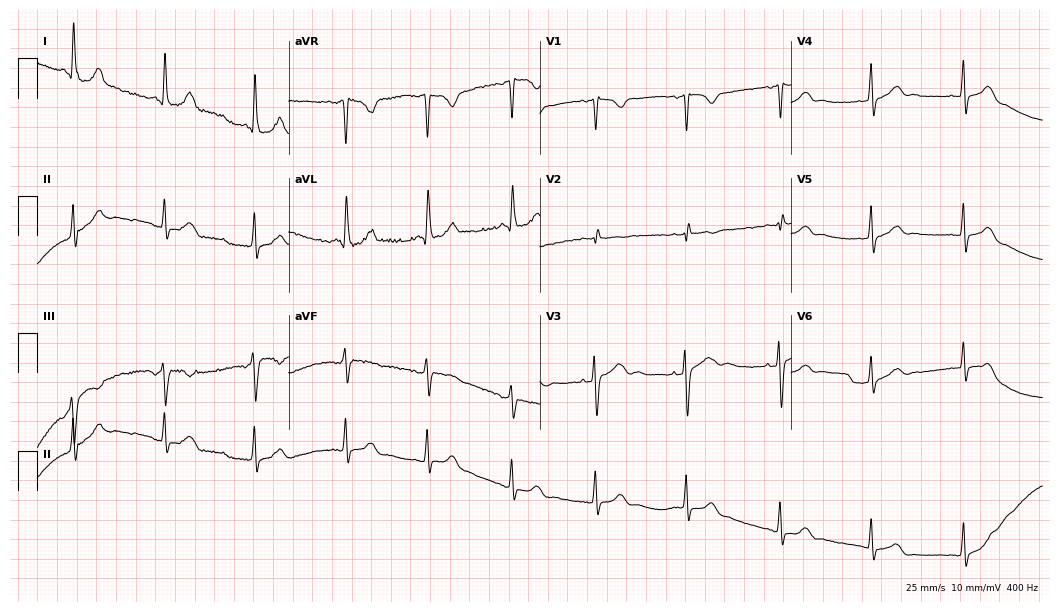
Resting 12-lead electrocardiogram (10.2-second recording at 400 Hz). Patient: a 40-year-old female. None of these six findings is recorded: first-degree AV block, right bundle branch block, left bundle branch block, sinus bradycardia, atrial fibrillation, sinus tachycardia.